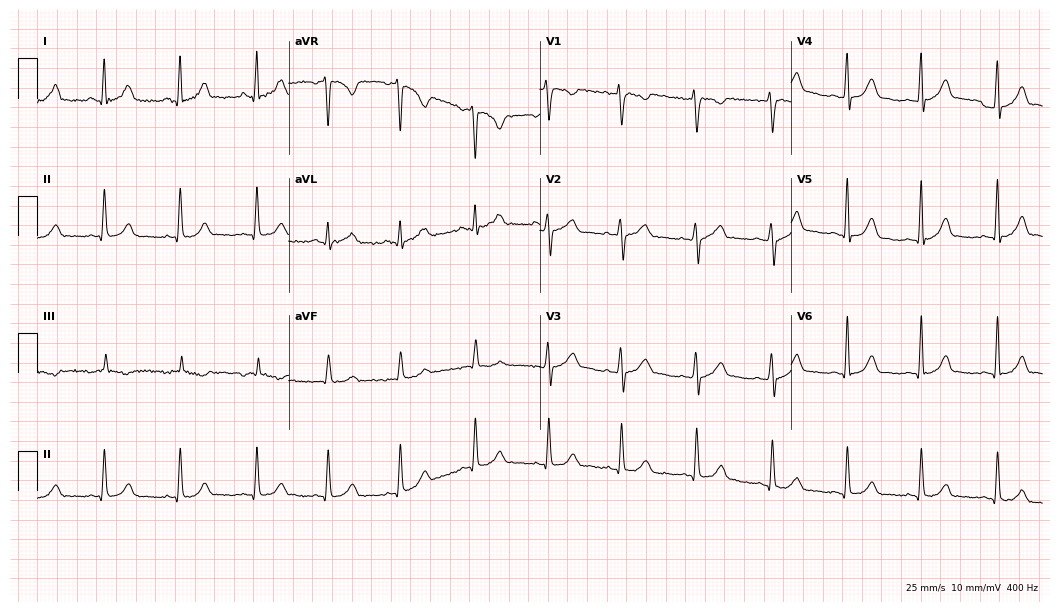
12-lead ECG (10.2-second recording at 400 Hz) from a 28-year-old female patient. Labelled as a normal ECG.